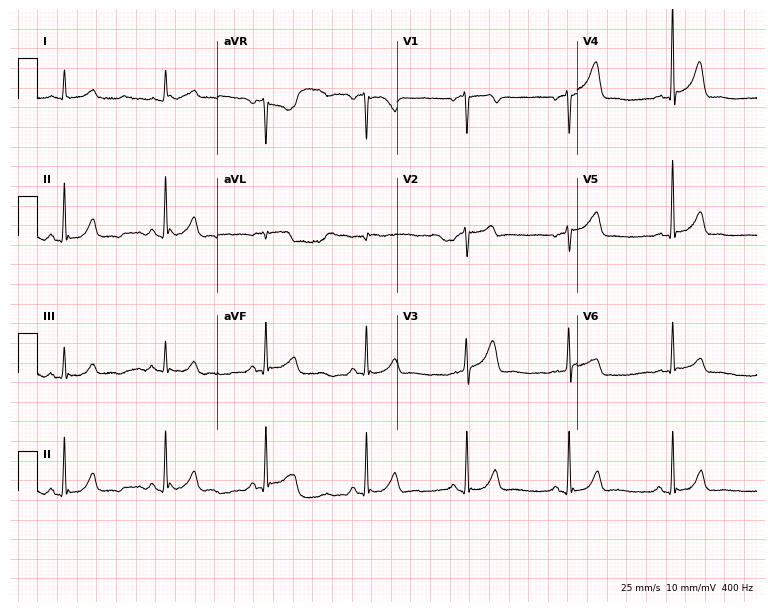
ECG — a 73-year-old man. Screened for six findings — first-degree AV block, right bundle branch block, left bundle branch block, sinus bradycardia, atrial fibrillation, sinus tachycardia — none is recorded.